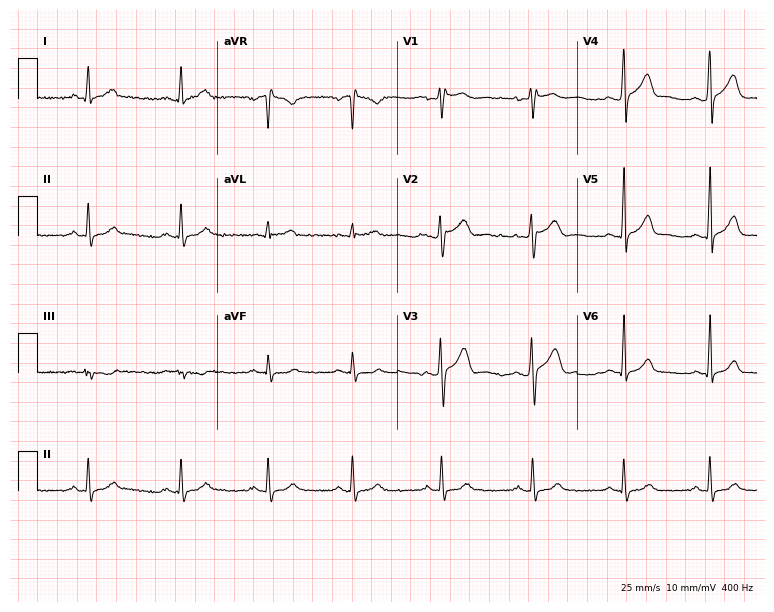
Electrocardiogram, a 27-year-old man. Overall reading on record: normal ECG.